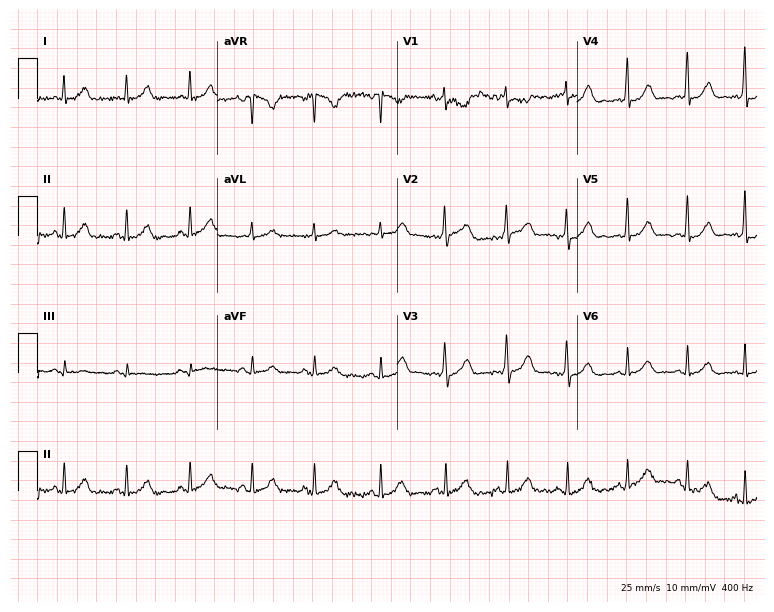
ECG — a 27-year-old female. Labelled as a normal ECG.